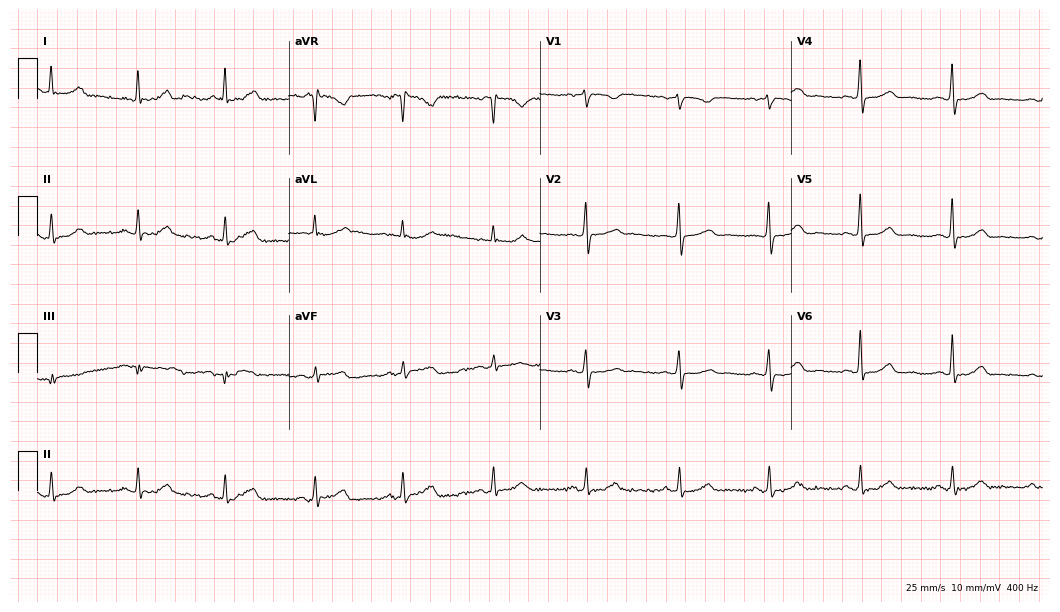
Electrocardiogram, a 54-year-old woman. Overall reading on record: normal ECG.